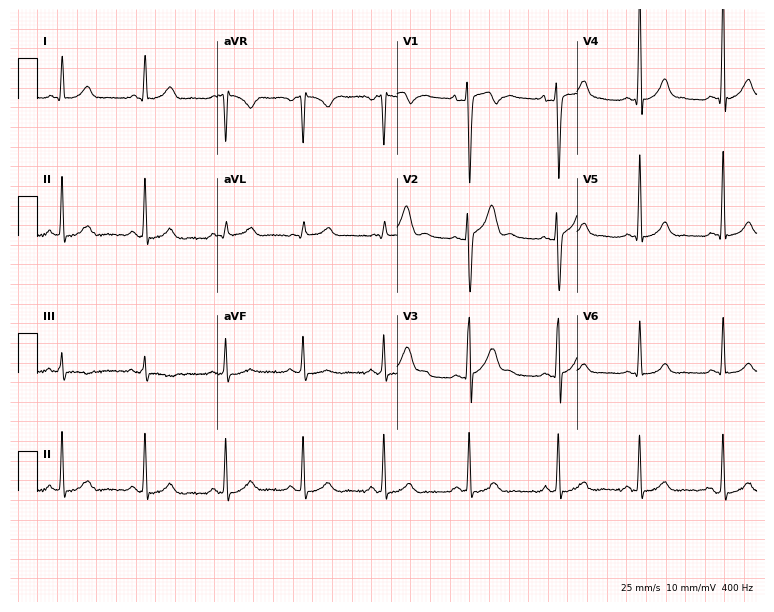
12-lead ECG from a male, 22 years old. Recorded interpretation: within normal limits.